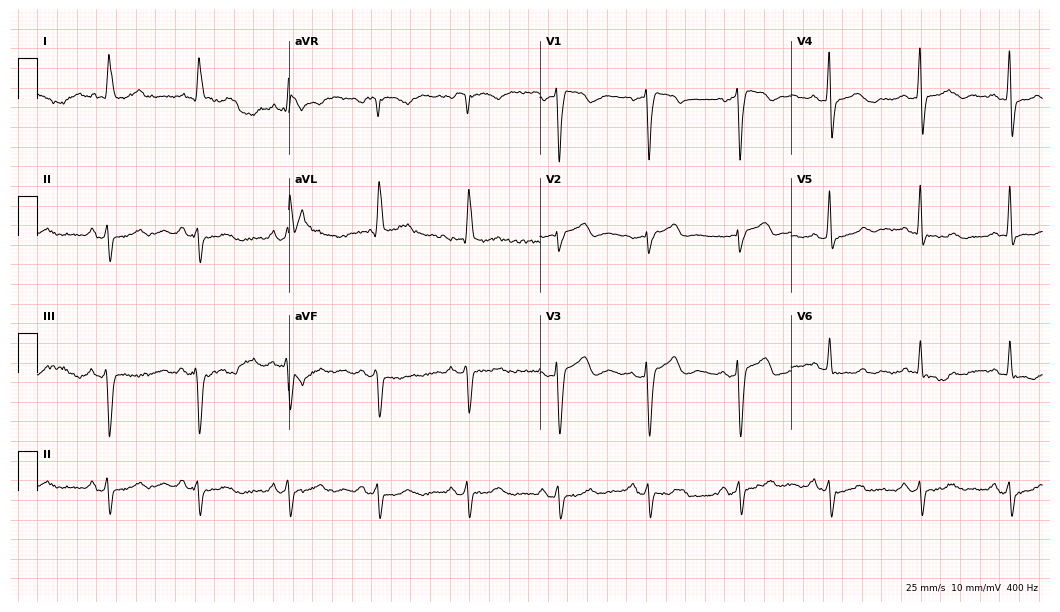
12-lead ECG from a man, 69 years old. Shows left bundle branch block.